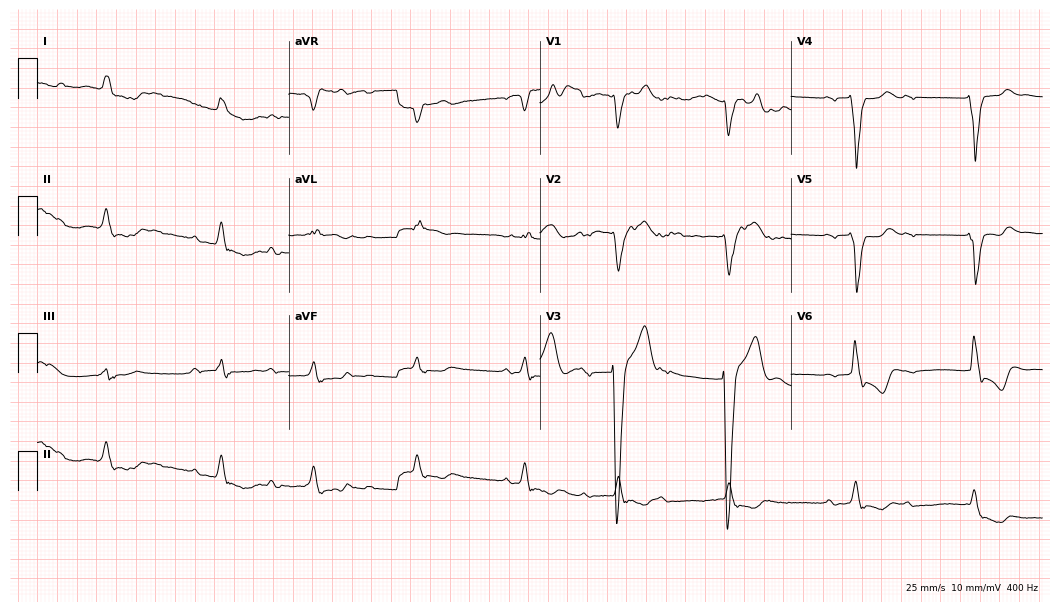
Standard 12-lead ECG recorded from a male, 74 years old (10.2-second recording at 400 Hz). None of these six findings is recorded: first-degree AV block, right bundle branch block, left bundle branch block, sinus bradycardia, atrial fibrillation, sinus tachycardia. Other findings, if any, are not listed.